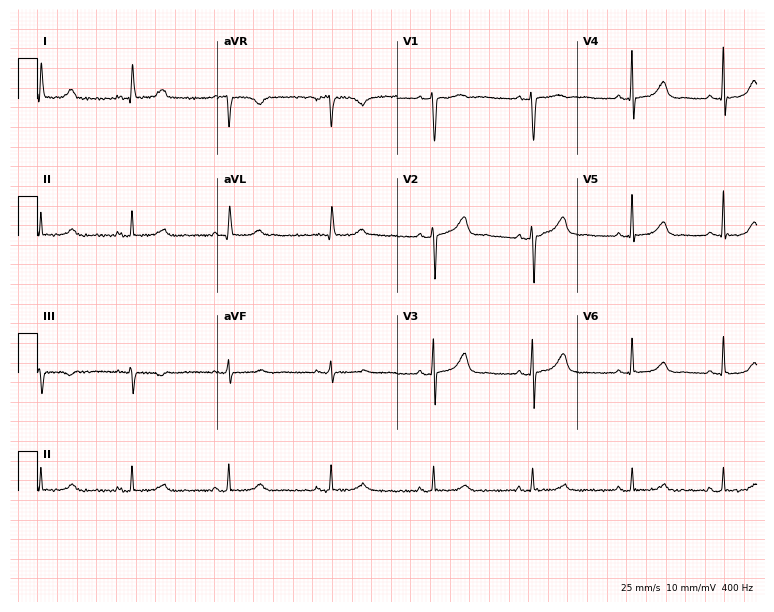
ECG — a woman, 53 years old. Screened for six findings — first-degree AV block, right bundle branch block, left bundle branch block, sinus bradycardia, atrial fibrillation, sinus tachycardia — none is recorded.